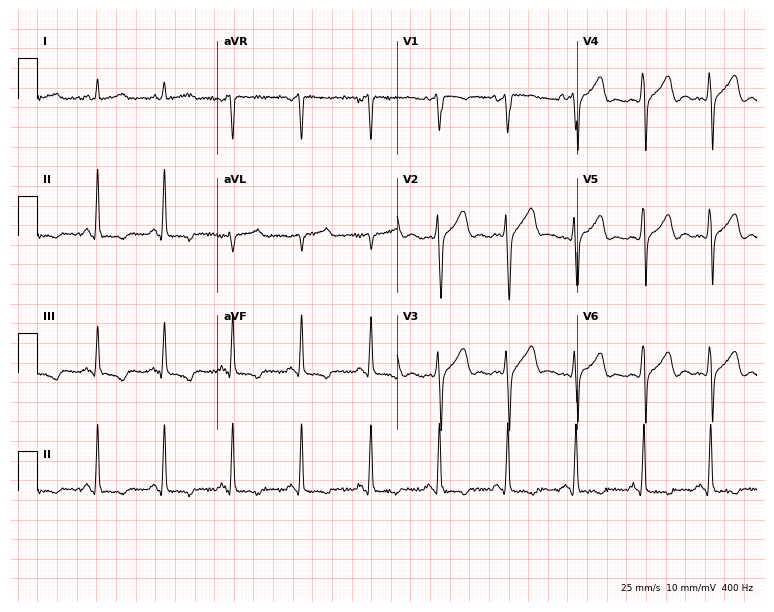
Electrocardiogram (7.3-second recording at 400 Hz), a man, 36 years old. Of the six screened findings (first-degree AV block, right bundle branch block, left bundle branch block, sinus bradycardia, atrial fibrillation, sinus tachycardia), none is recorded.